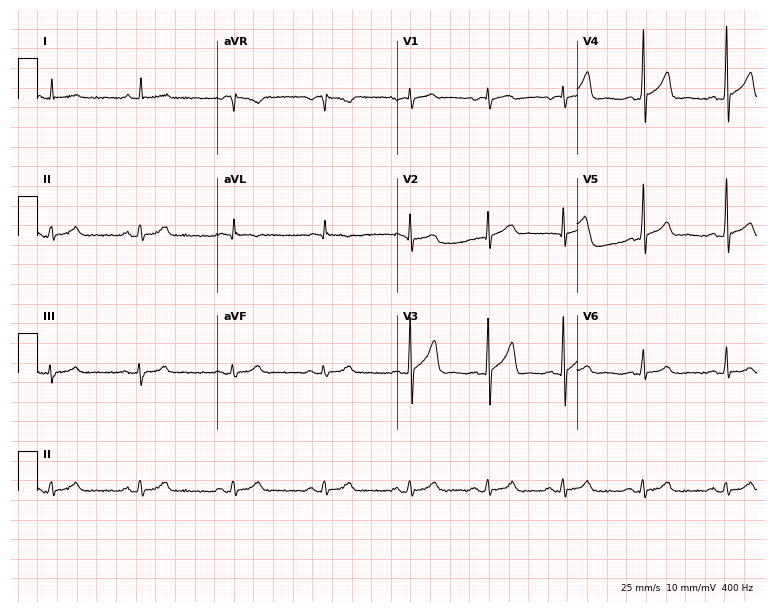
ECG (7.3-second recording at 400 Hz) — a 60-year-old male patient. Labelled as a normal ECG.